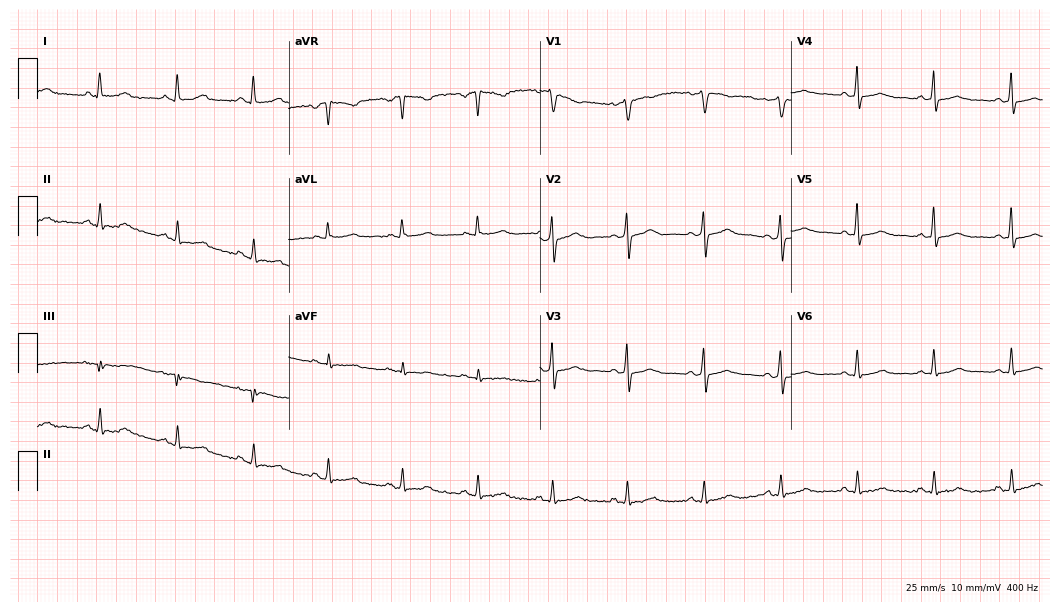
Electrocardiogram, a 46-year-old female. Of the six screened findings (first-degree AV block, right bundle branch block, left bundle branch block, sinus bradycardia, atrial fibrillation, sinus tachycardia), none is recorded. Other findings, if any, are not listed.